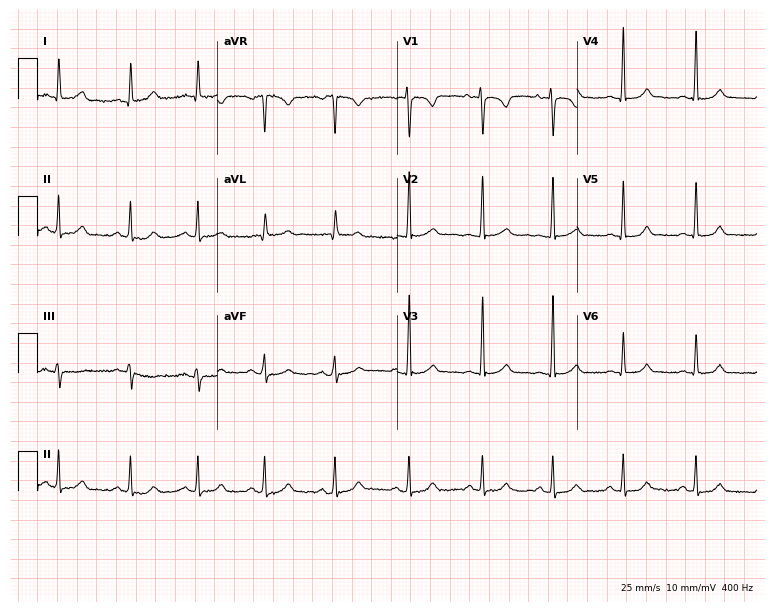
12-lead ECG from a 37-year-old woman (7.3-second recording at 400 Hz). No first-degree AV block, right bundle branch block (RBBB), left bundle branch block (LBBB), sinus bradycardia, atrial fibrillation (AF) or sinus tachycardia recorded for this tracing. Findings outside these six are not listed.